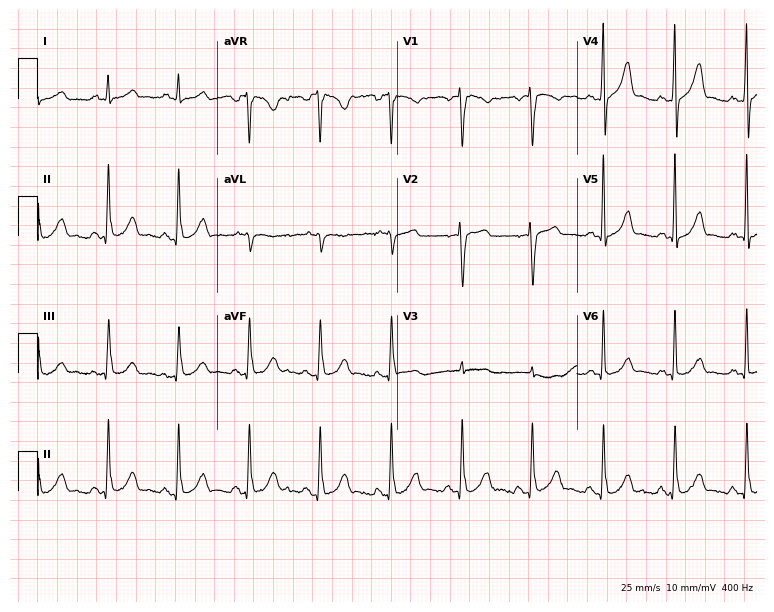
Resting 12-lead electrocardiogram (7.3-second recording at 400 Hz). Patient: a 34-year-old male. Read as a normal ECG.